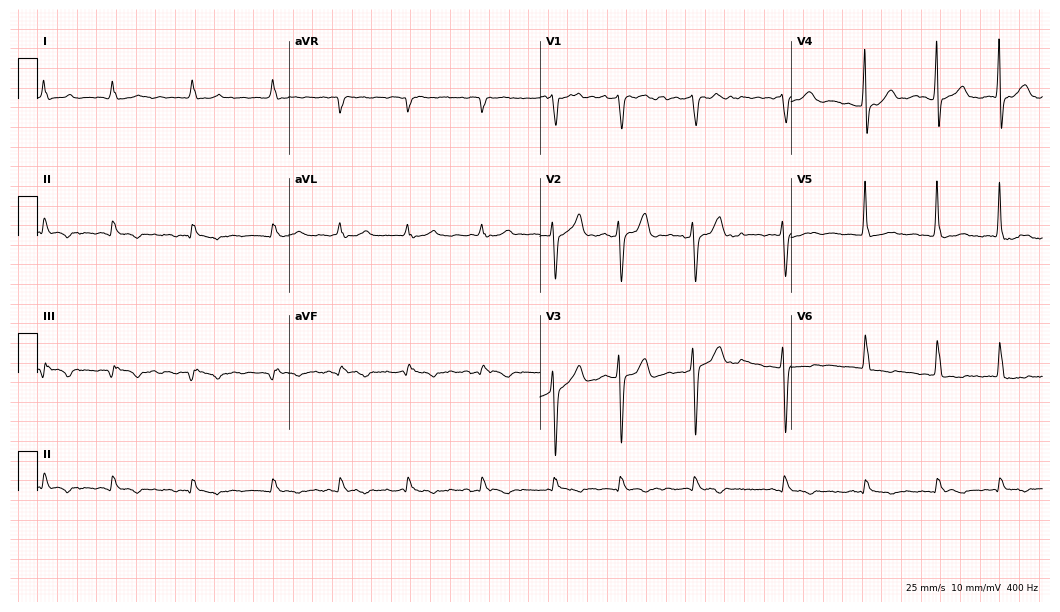
ECG — a 62-year-old male patient. Findings include left bundle branch block (LBBB), atrial fibrillation (AF).